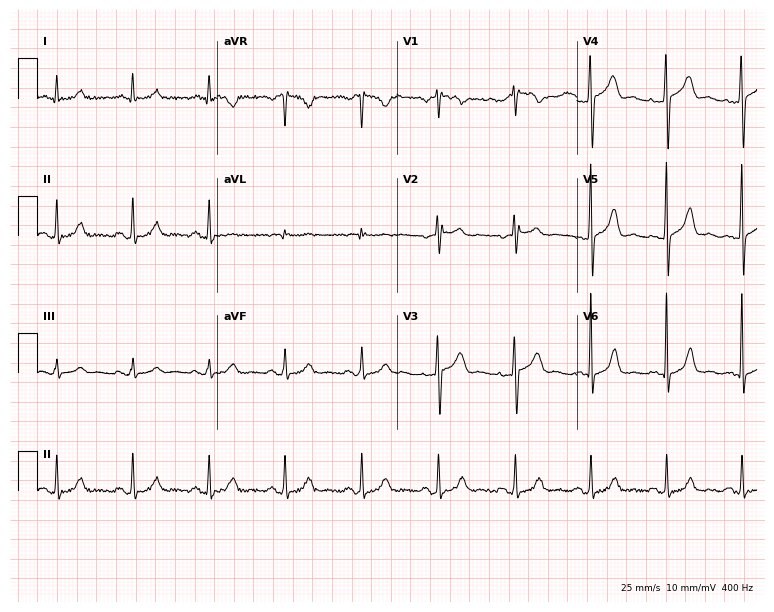
Resting 12-lead electrocardiogram. Patient: a 65-year-old male. None of these six findings is recorded: first-degree AV block, right bundle branch block, left bundle branch block, sinus bradycardia, atrial fibrillation, sinus tachycardia. Other findings, if any, are not listed.